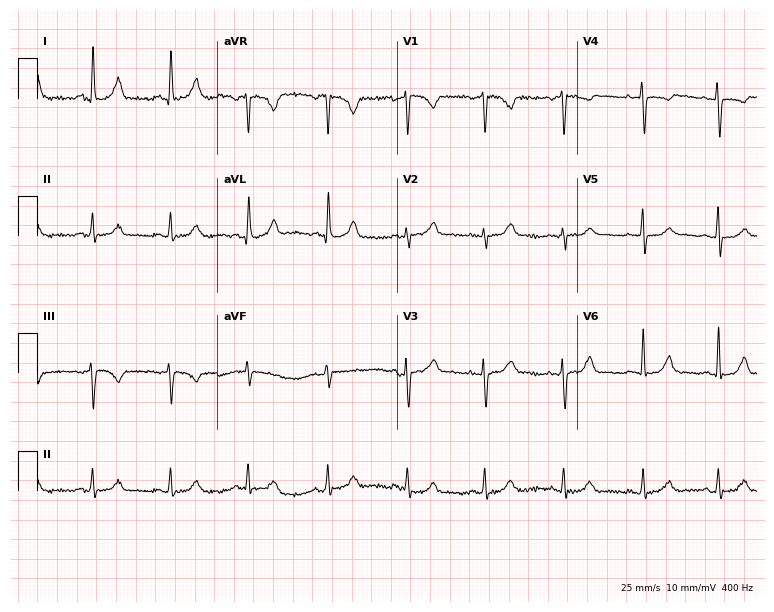
Electrocardiogram, a 46-year-old female. Overall reading on record: normal ECG.